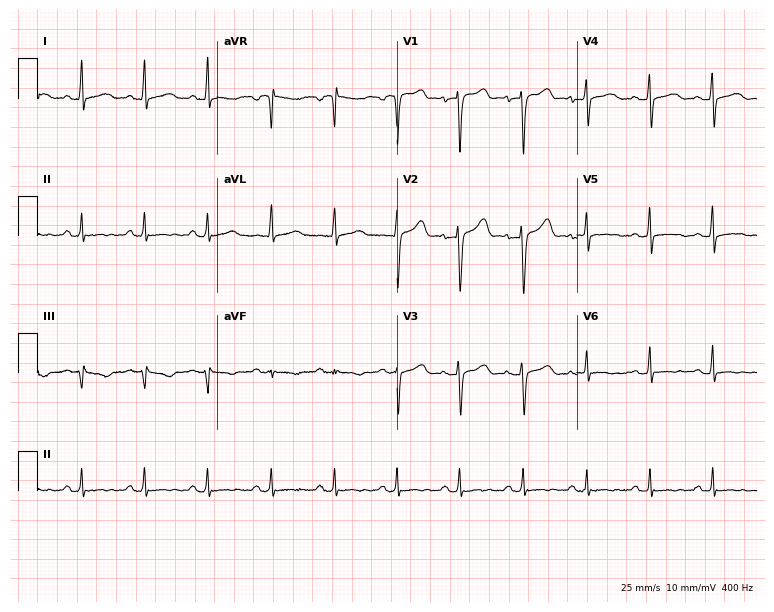
Standard 12-lead ECG recorded from a woman, 53 years old. None of these six findings is recorded: first-degree AV block, right bundle branch block (RBBB), left bundle branch block (LBBB), sinus bradycardia, atrial fibrillation (AF), sinus tachycardia. Findings outside these six are not listed.